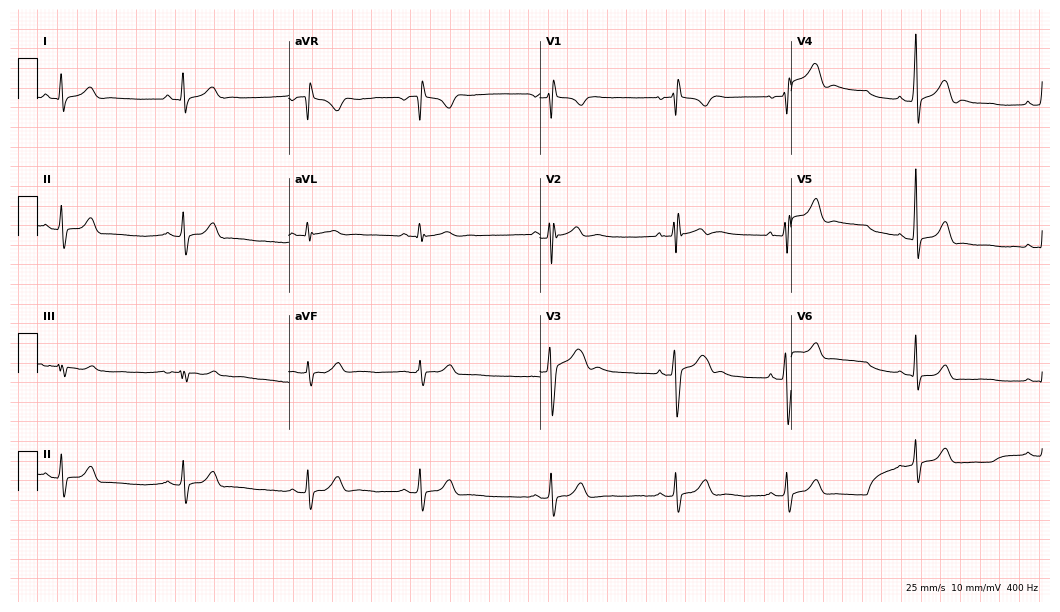
Standard 12-lead ECG recorded from a man, 20 years old (10.2-second recording at 400 Hz). The tracing shows sinus bradycardia (a sinus rate of 50 beats per minute or less).